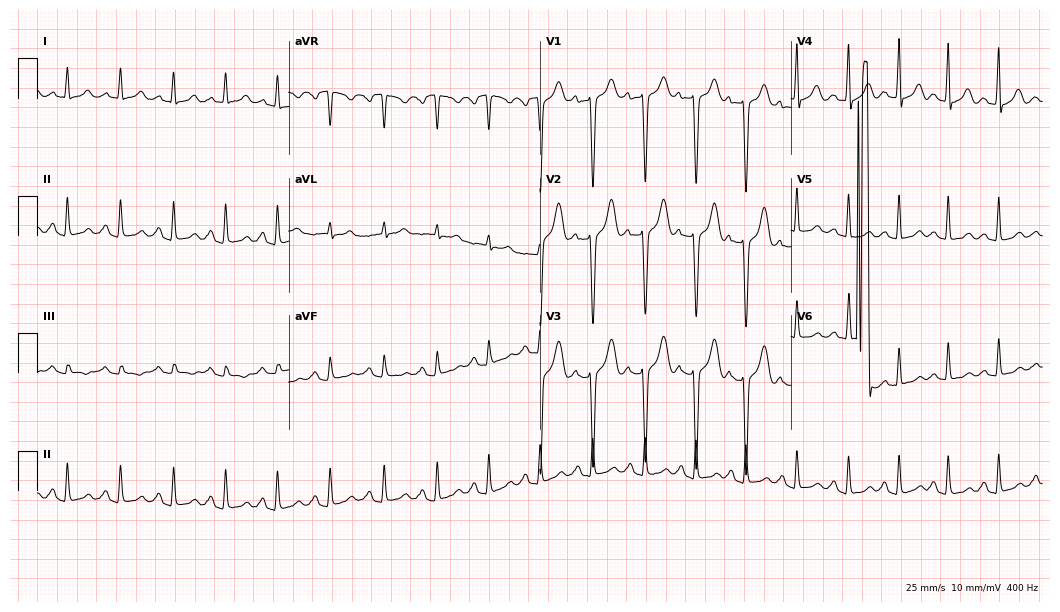
Standard 12-lead ECG recorded from a female, 31 years old. The tracing shows sinus tachycardia (a sinus rate of 100 beats per minute or more).